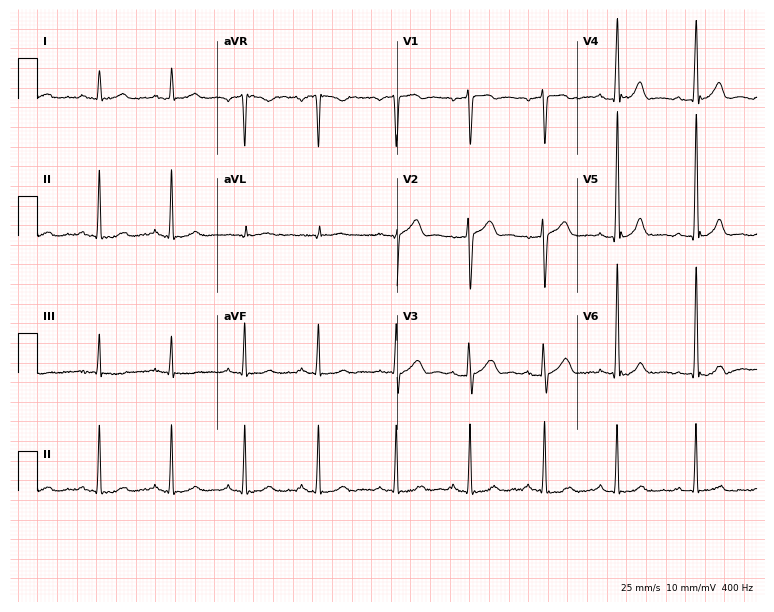
ECG — a male patient, 55 years old. Labelled as a normal ECG.